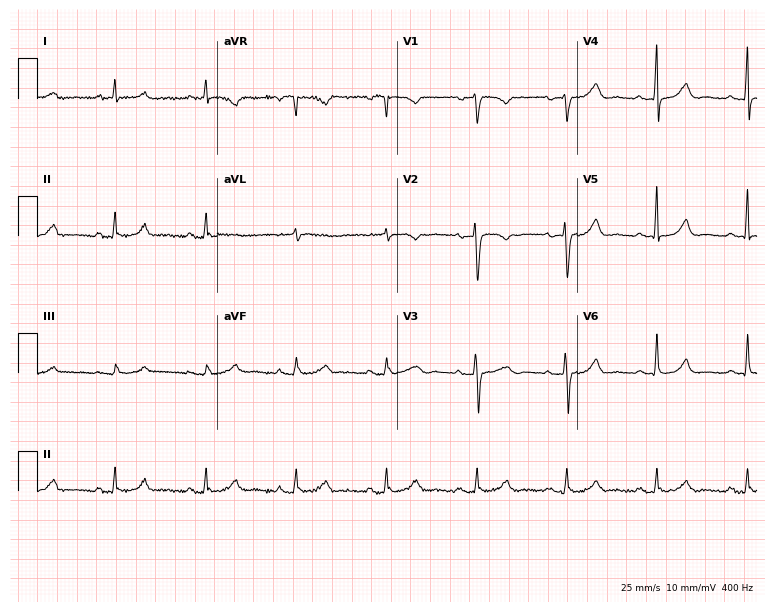
Standard 12-lead ECG recorded from a woman, 84 years old. Read as a normal ECG.